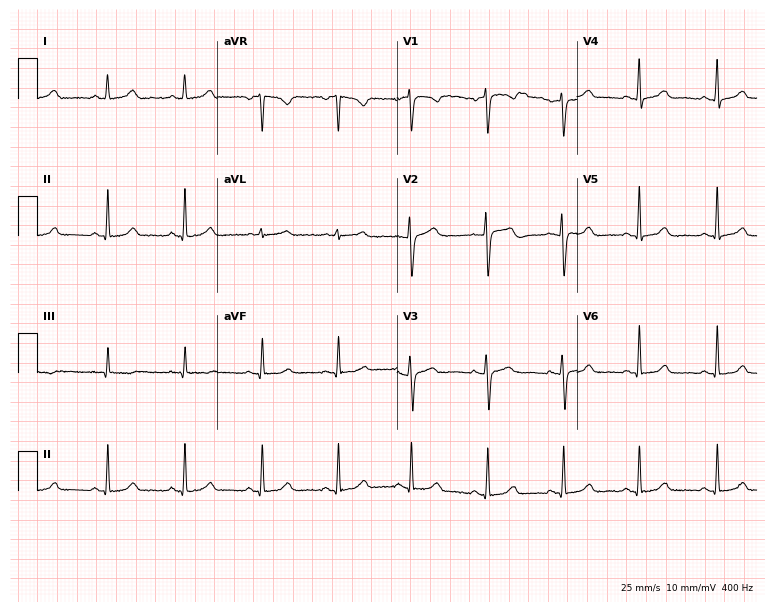
12-lead ECG from a female, 42 years old. Labelled as a normal ECG.